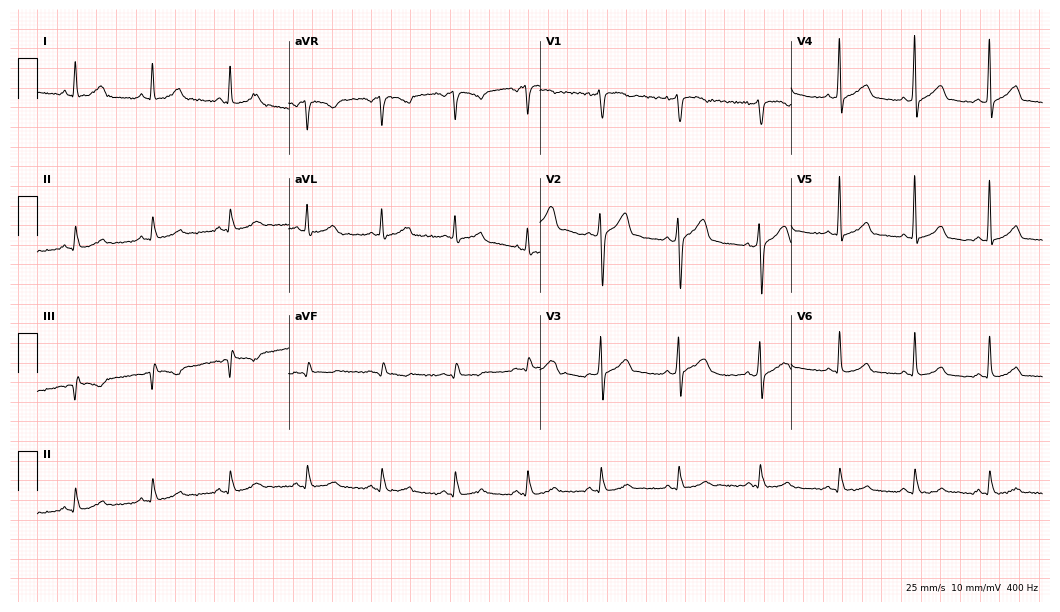
Electrocardiogram, a 37-year-old man. Overall reading on record: normal ECG.